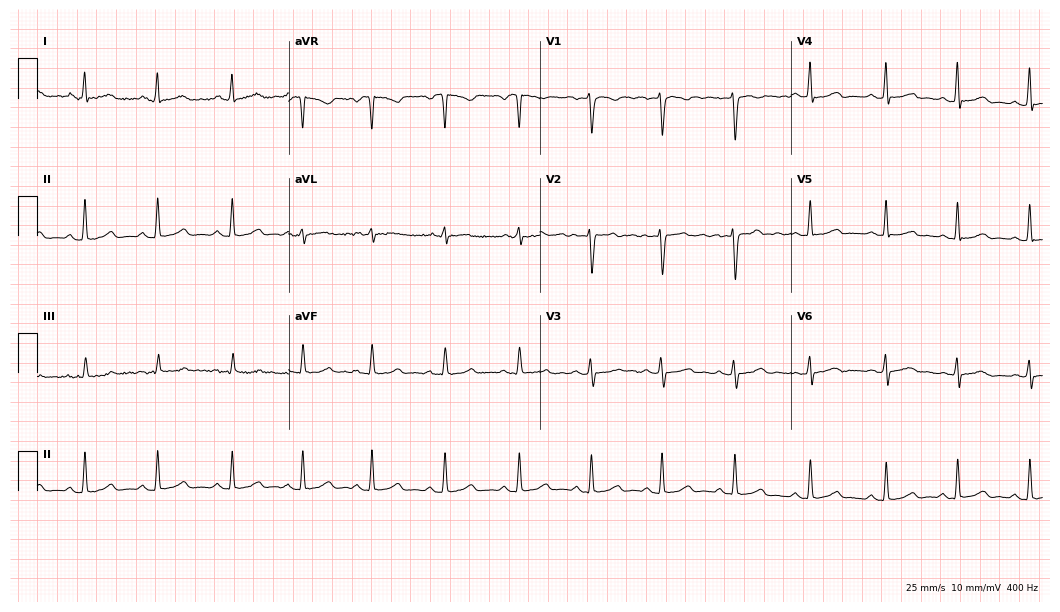
12-lead ECG from a 35-year-old female. Recorded interpretation: within normal limits.